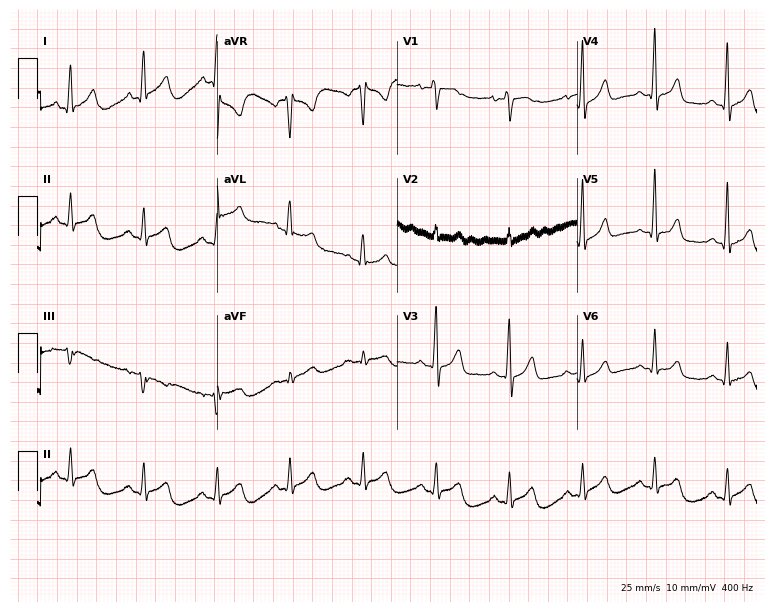
Standard 12-lead ECG recorded from a male patient, 32 years old. Read as a normal ECG.